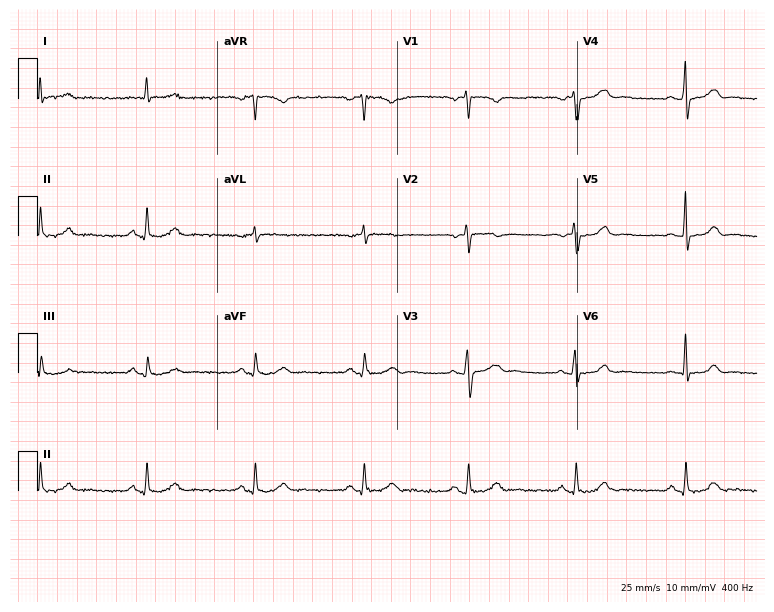
12-lead ECG from a 62-year-old male (7.3-second recording at 400 Hz). Recorded interpretation: within normal limits.